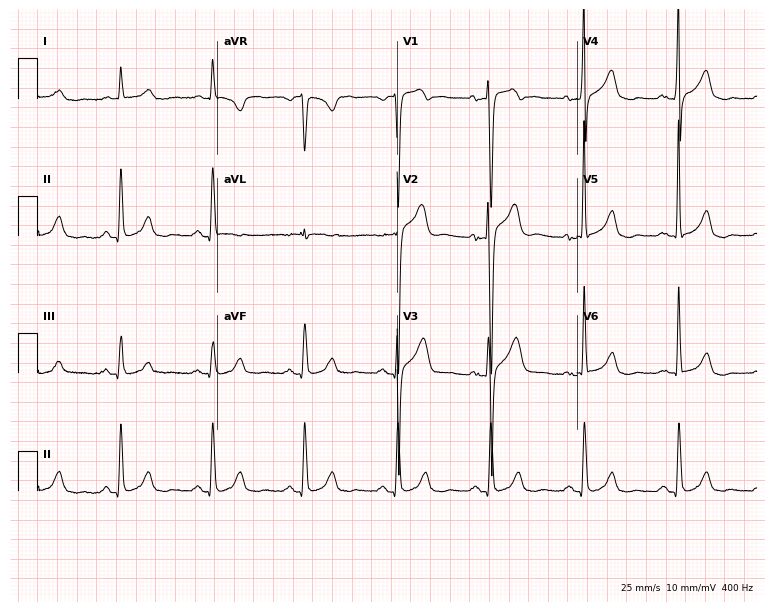
Resting 12-lead electrocardiogram. Patient: a 62-year-old man. None of these six findings is recorded: first-degree AV block, right bundle branch block, left bundle branch block, sinus bradycardia, atrial fibrillation, sinus tachycardia. Other findings, if any, are not listed.